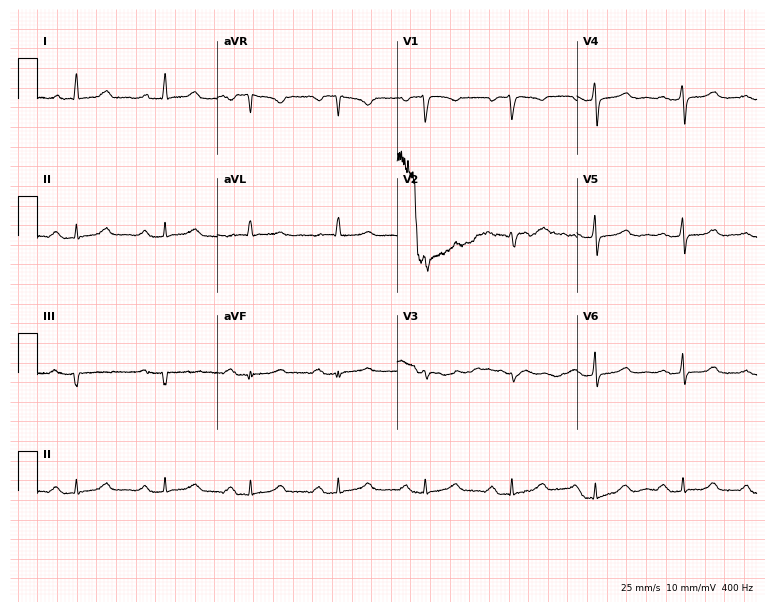
12-lead ECG (7.3-second recording at 400 Hz) from a female, 50 years old. Screened for six findings — first-degree AV block, right bundle branch block, left bundle branch block, sinus bradycardia, atrial fibrillation, sinus tachycardia — none is recorded.